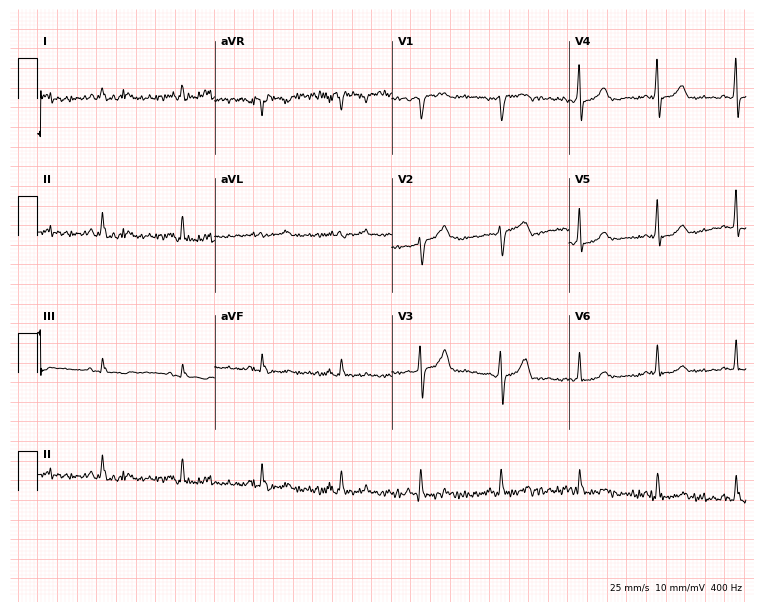
12-lead ECG from a female, 50 years old (7.2-second recording at 400 Hz). No first-degree AV block, right bundle branch block (RBBB), left bundle branch block (LBBB), sinus bradycardia, atrial fibrillation (AF) or sinus tachycardia recorded for this tracing.